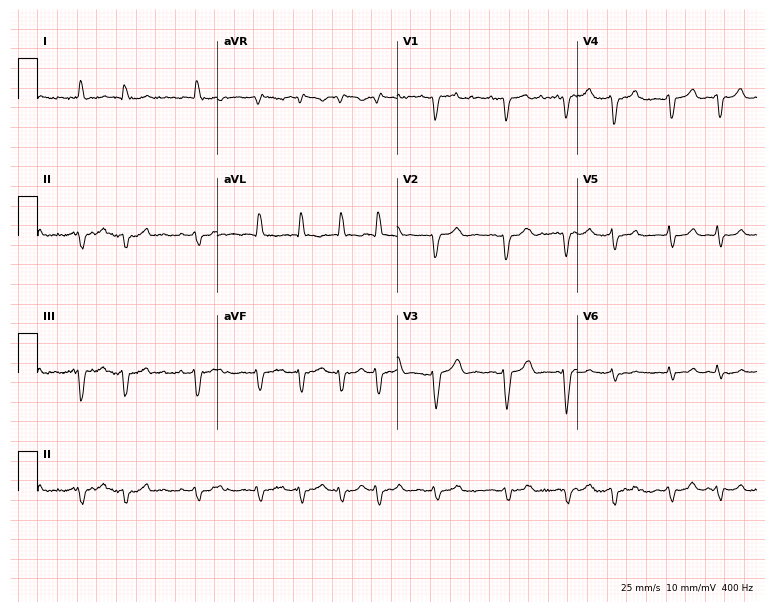
ECG (7.3-second recording at 400 Hz) — a female patient, 74 years old. Findings include atrial fibrillation.